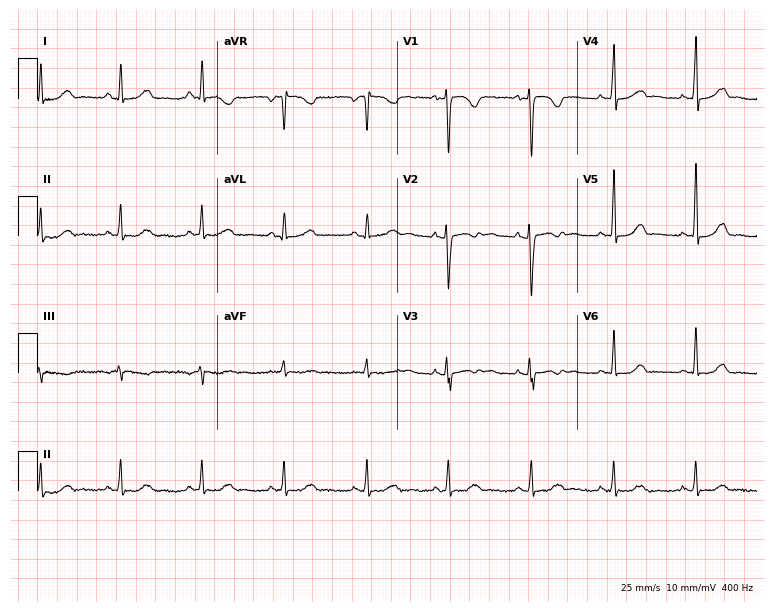
ECG (7.3-second recording at 400 Hz) — a 24-year-old female. Screened for six findings — first-degree AV block, right bundle branch block, left bundle branch block, sinus bradycardia, atrial fibrillation, sinus tachycardia — none is recorded. Only these six findings were labelled.